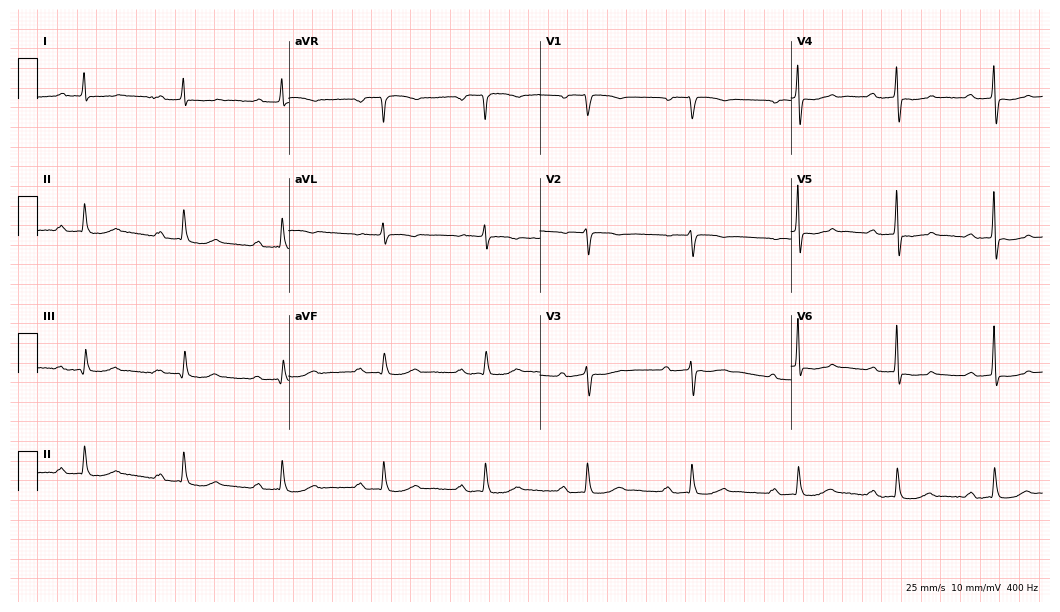
Resting 12-lead electrocardiogram. Patient: a female, 82 years old. The tracing shows first-degree AV block.